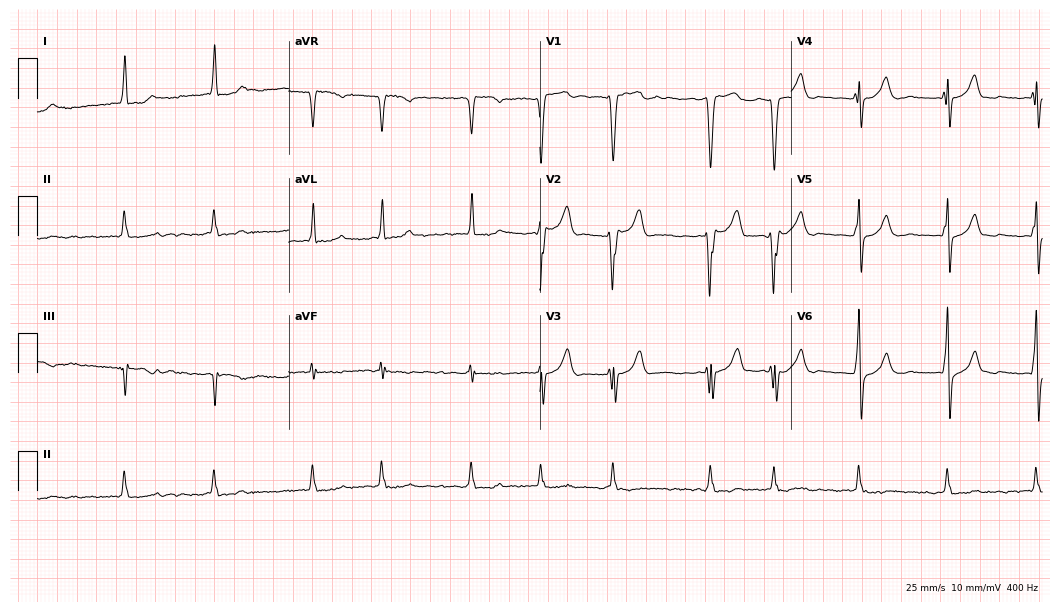
ECG — a male, 81 years old. Findings include atrial fibrillation (AF).